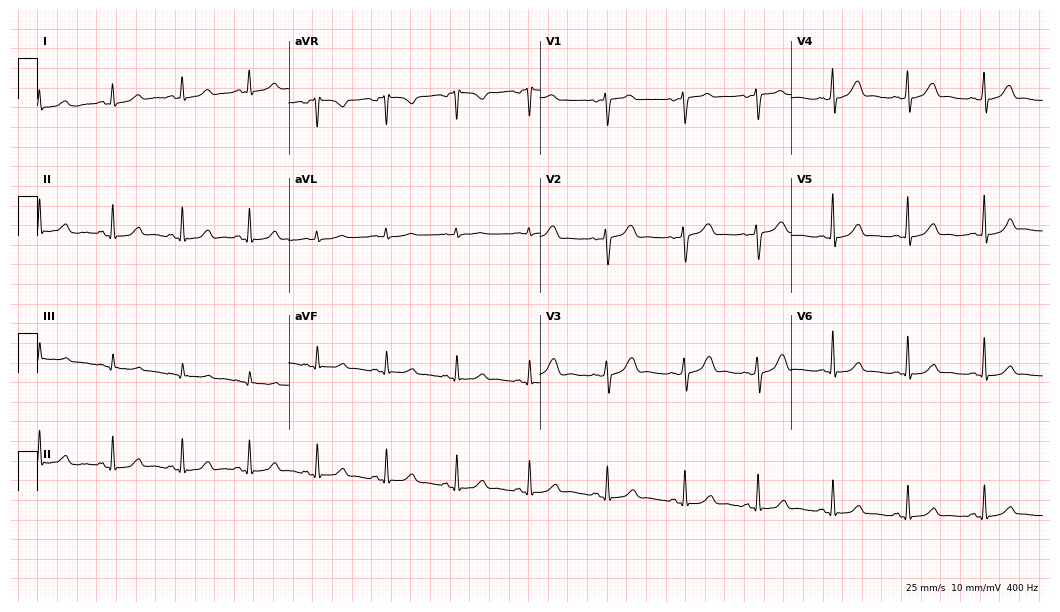
12-lead ECG from a 39-year-old female patient (10.2-second recording at 400 Hz). No first-degree AV block, right bundle branch block, left bundle branch block, sinus bradycardia, atrial fibrillation or sinus tachycardia recorded for this tracing.